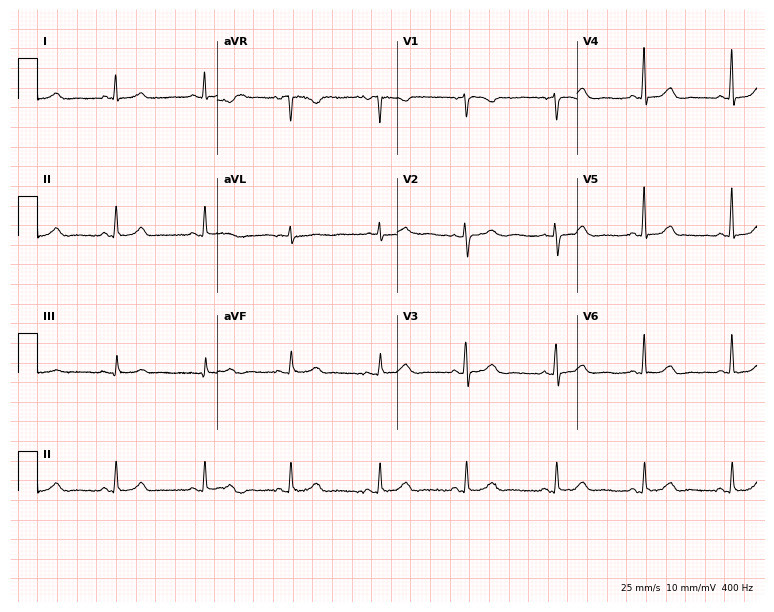
Electrocardiogram, a 78-year-old female. Overall reading on record: normal ECG.